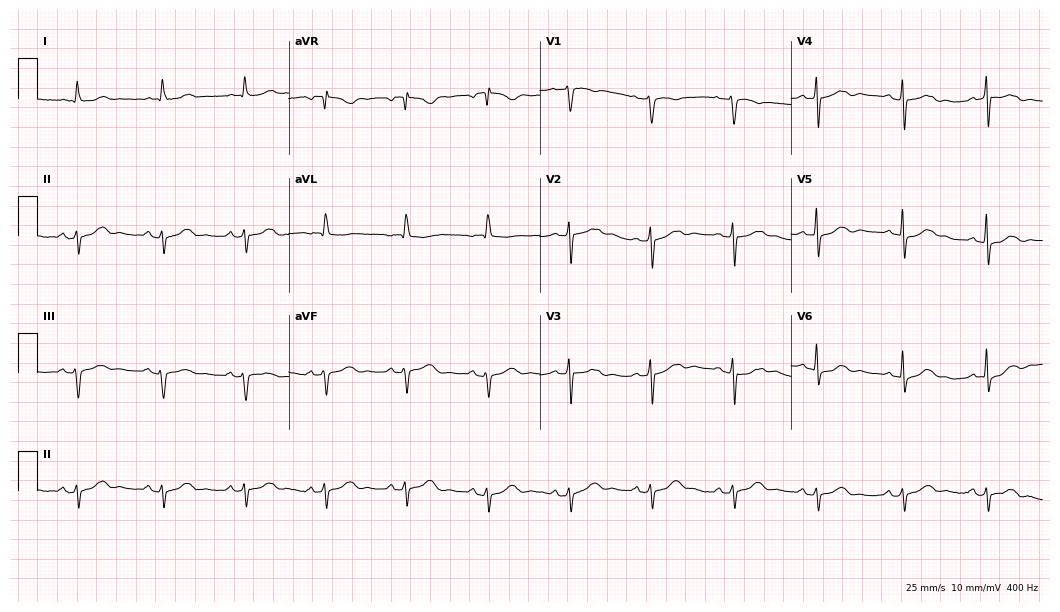
Standard 12-lead ECG recorded from a female, 74 years old. None of these six findings is recorded: first-degree AV block, right bundle branch block, left bundle branch block, sinus bradycardia, atrial fibrillation, sinus tachycardia. Only these six findings were labelled.